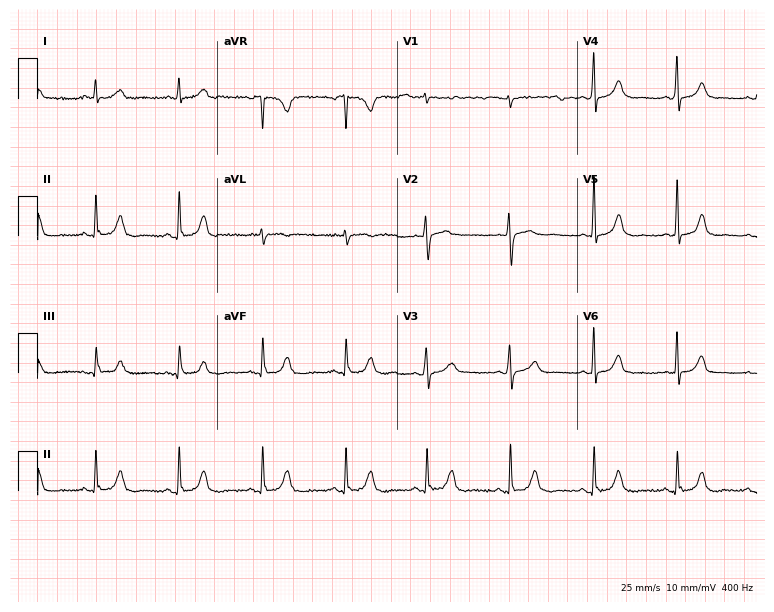
12-lead ECG from a 65-year-old female patient. Labelled as a normal ECG.